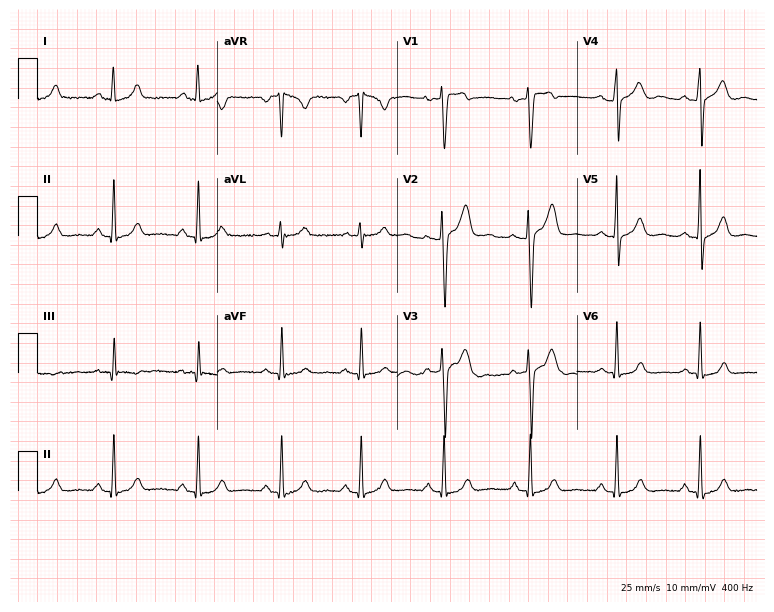
Standard 12-lead ECG recorded from a female, 28 years old (7.3-second recording at 400 Hz). Read as a normal ECG.